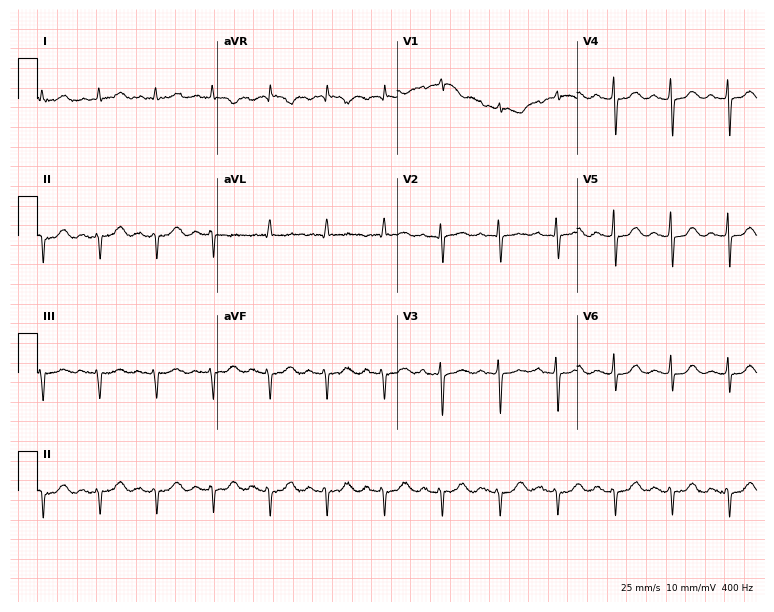
Electrocardiogram (7.3-second recording at 400 Hz), a woman, 84 years old. Interpretation includes sinus tachycardia (a sinus rate of 100 beats per minute or more).